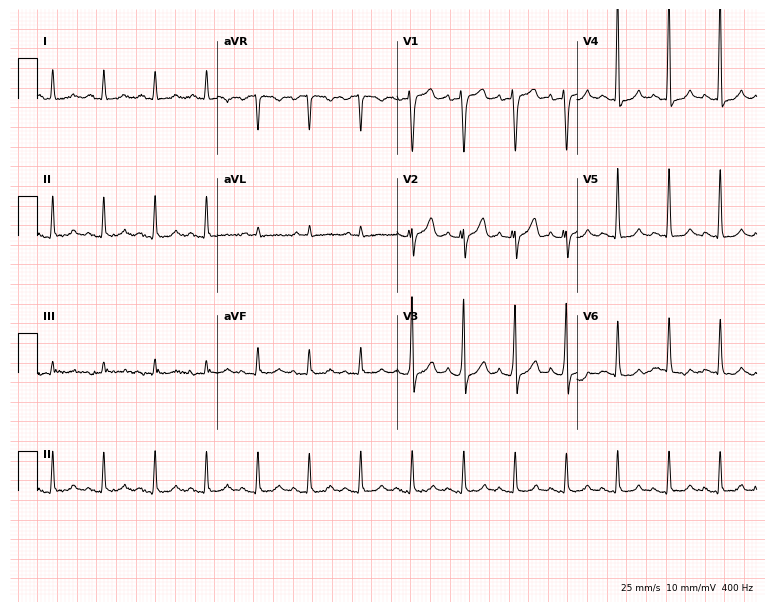
Resting 12-lead electrocardiogram (7.3-second recording at 400 Hz). Patient: a 79-year-old female. The tracing shows sinus tachycardia (a sinus rate of 100 beats per minute or more).